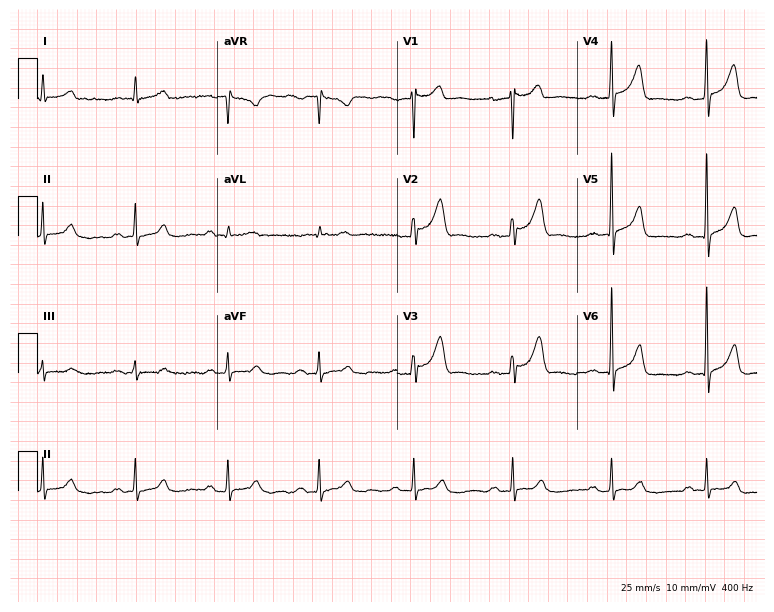
Electrocardiogram, a 54-year-old man. Interpretation includes first-degree AV block.